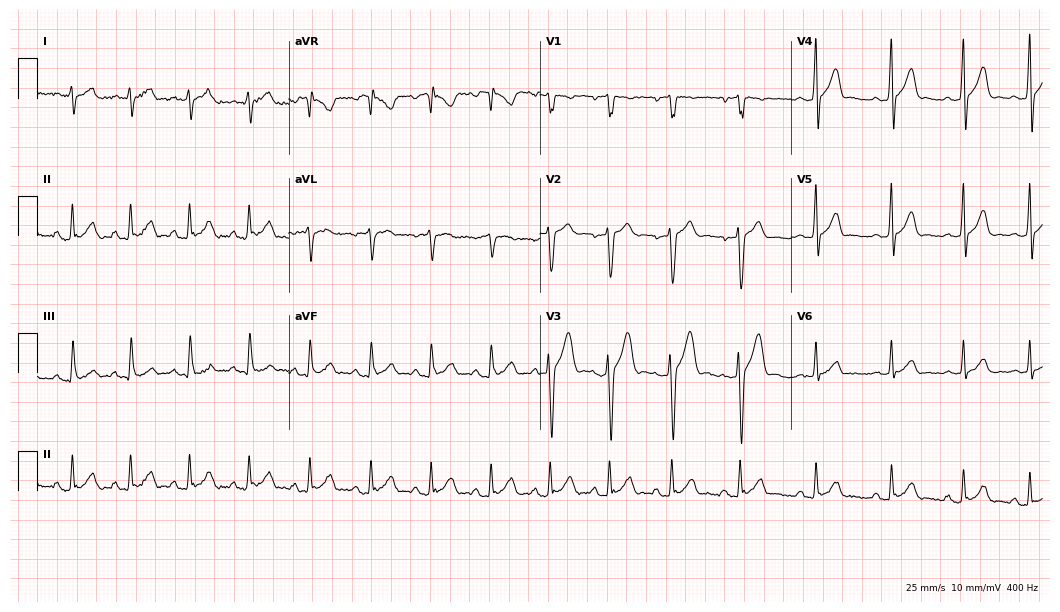
12-lead ECG from a male, 19 years old. Screened for six findings — first-degree AV block, right bundle branch block (RBBB), left bundle branch block (LBBB), sinus bradycardia, atrial fibrillation (AF), sinus tachycardia — none is recorded.